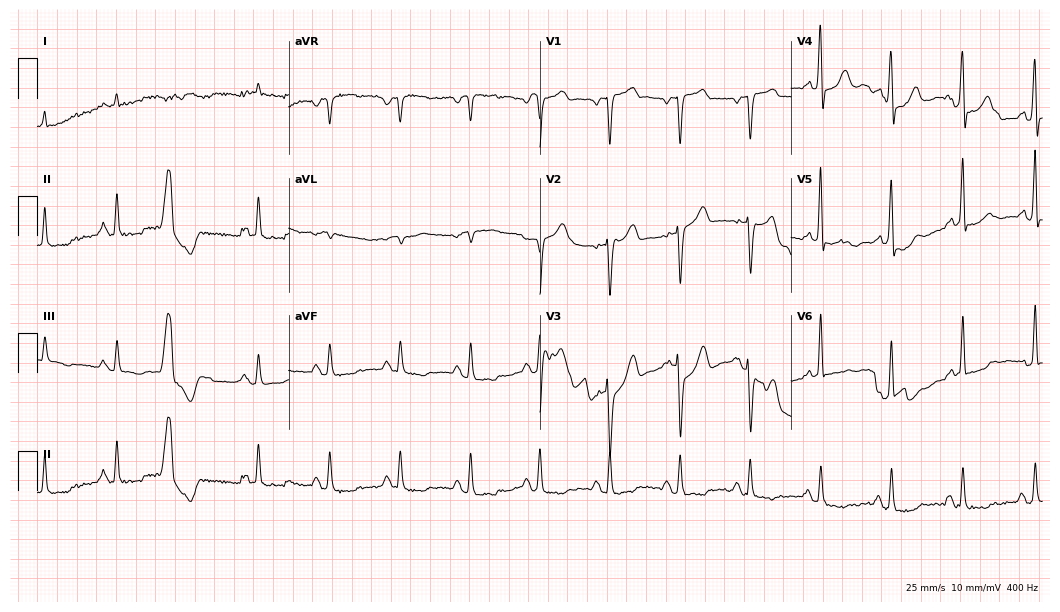
Resting 12-lead electrocardiogram (10.2-second recording at 400 Hz). Patient: a male, 78 years old. None of these six findings is recorded: first-degree AV block, right bundle branch block (RBBB), left bundle branch block (LBBB), sinus bradycardia, atrial fibrillation (AF), sinus tachycardia. Other findings, if any, are not listed.